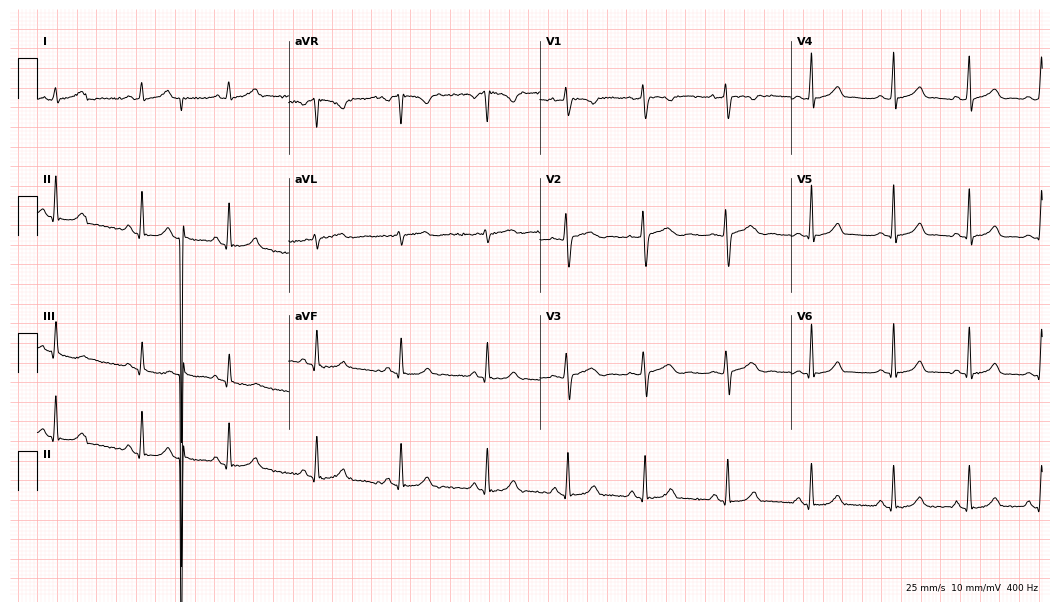
ECG — a woman, 24 years old. Labelled as a normal ECG.